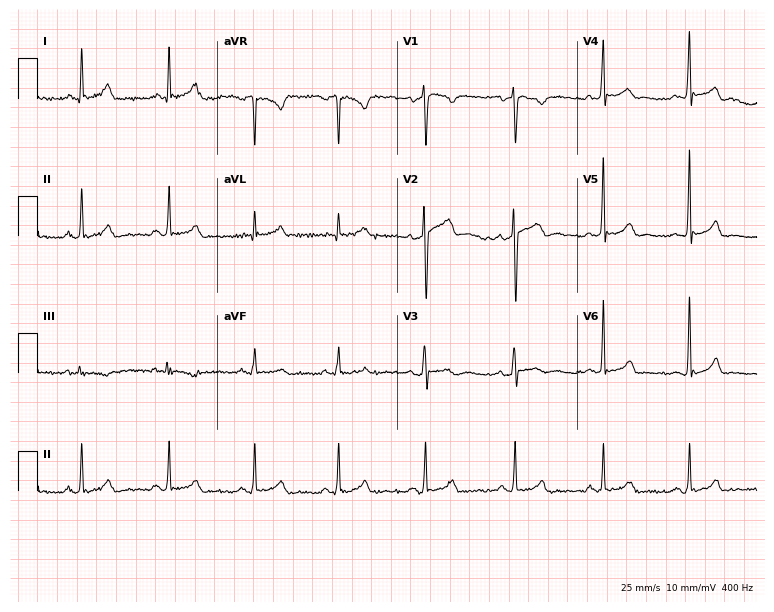
Standard 12-lead ECG recorded from a man, 49 years old (7.3-second recording at 400 Hz). Read as a normal ECG.